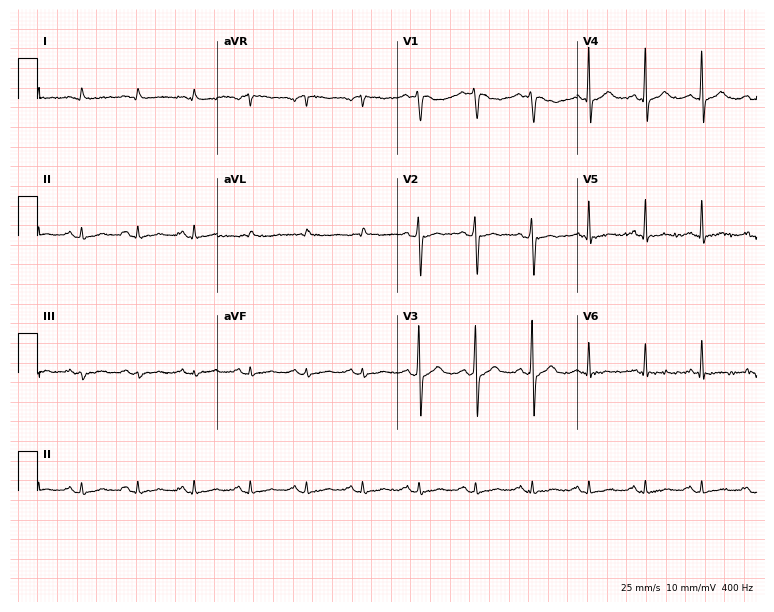
12-lead ECG (7.3-second recording at 400 Hz) from a woman, 80 years old. Screened for six findings — first-degree AV block, right bundle branch block, left bundle branch block, sinus bradycardia, atrial fibrillation, sinus tachycardia — none is recorded.